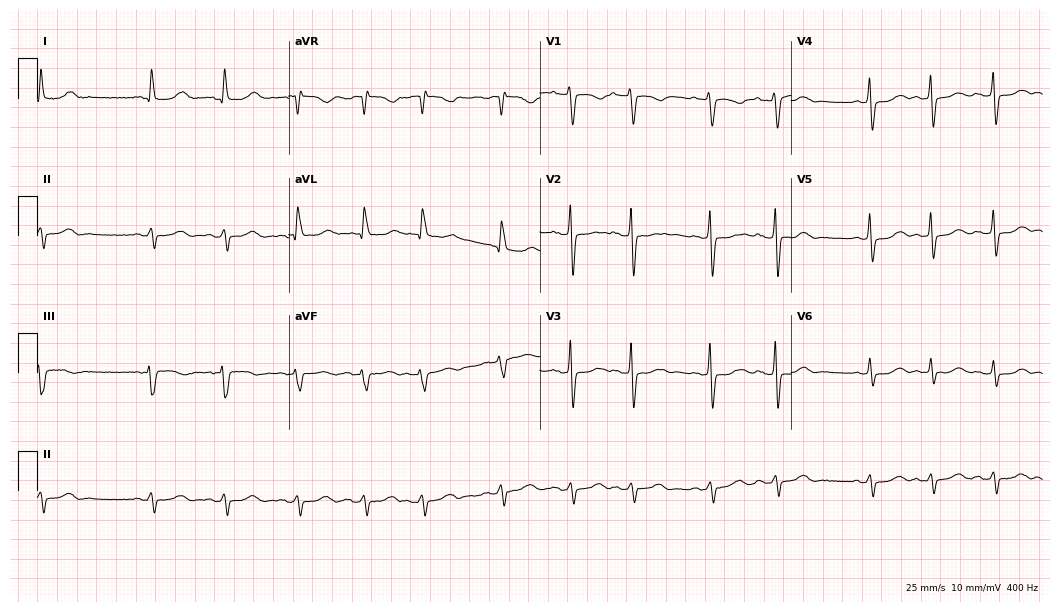
Standard 12-lead ECG recorded from a female patient, 71 years old (10.2-second recording at 400 Hz). None of these six findings is recorded: first-degree AV block, right bundle branch block (RBBB), left bundle branch block (LBBB), sinus bradycardia, atrial fibrillation (AF), sinus tachycardia.